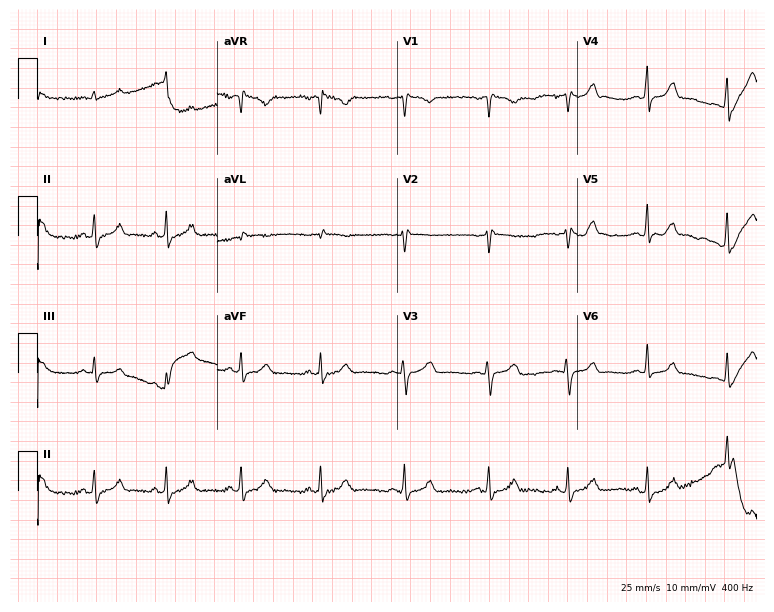
12-lead ECG (7.3-second recording at 400 Hz) from a female patient, 36 years old. Screened for six findings — first-degree AV block, right bundle branch block, left bundle branch block, sinus bradycardia, atrial fibrillation, sinus tachycardia — none is recorded.